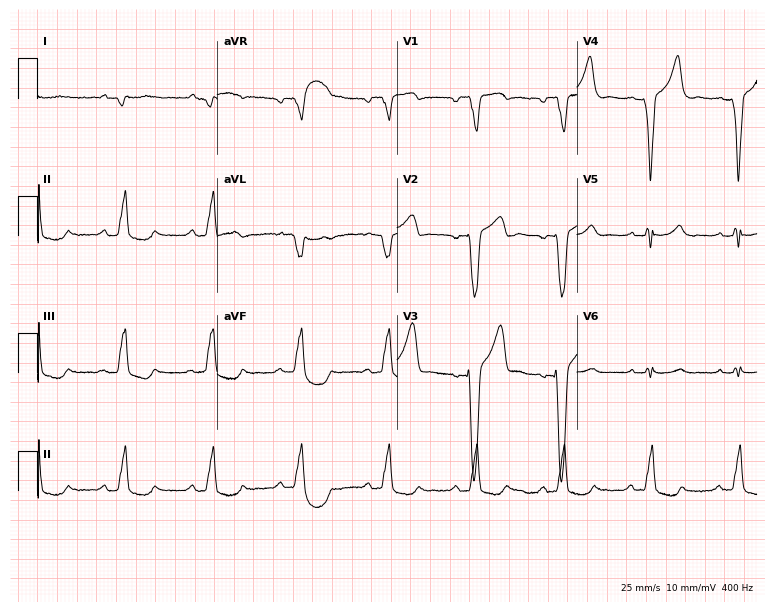
Resting 12-lead electrocardiogram. Patient: a 77-year-old male. None of these six findings is recorded: first-degree AV block, right bundle branch block, left bundle branch block, sinus bradycardia, atrial fibrillation, sinus tachycardia. Only these six findings were labelled.